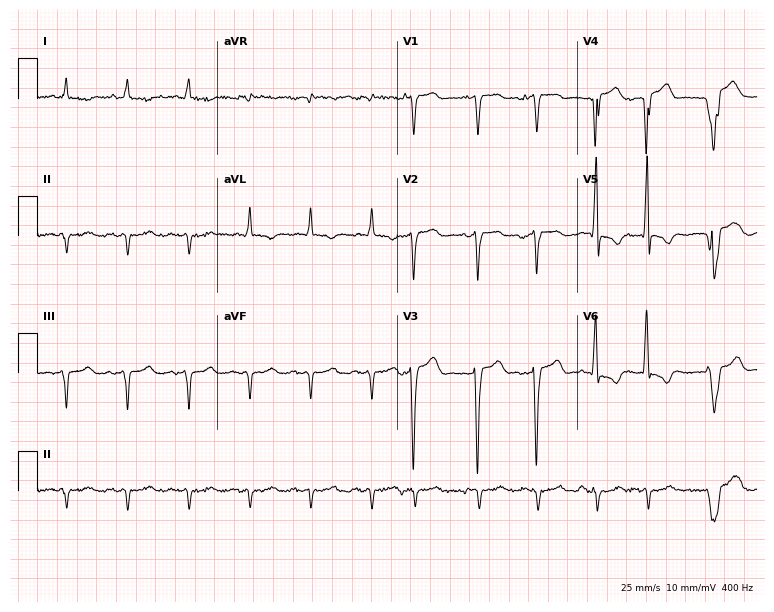
Standard 12-lead ECG recorded from an 83-year-old man (7.3-second recording at 400 Hz). The tracing shows sinus tachycardia (a sinus rate of 100 beats per minute or more).